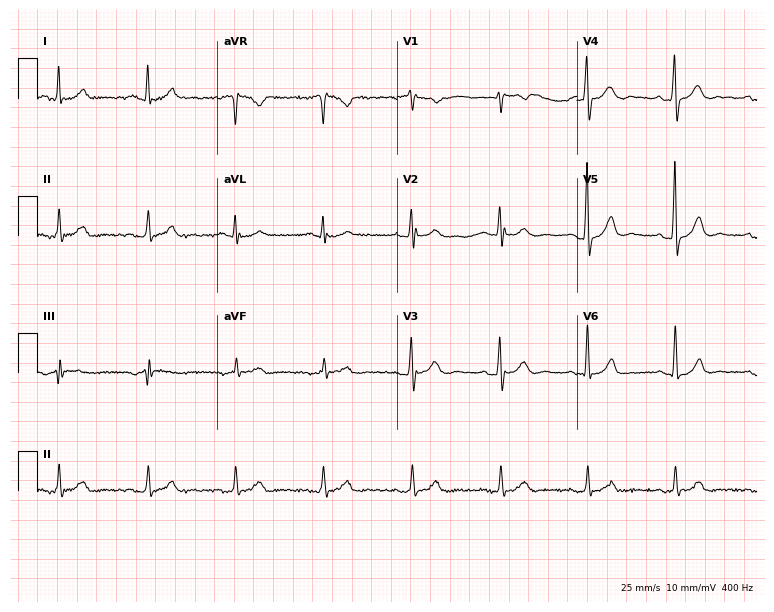
12-lead ECG (7.3-second recording at 400 Hz) from a male, 59 years old. Labelled as a normal ECG.